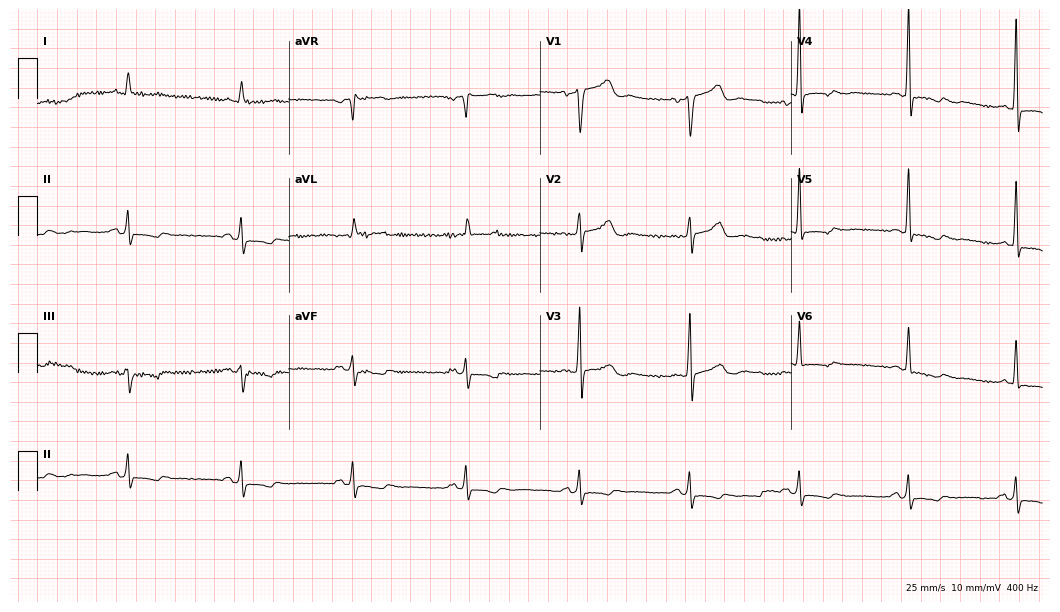
12-lead ECG from a male patient, 83 years old (10.2-second recording at 400 Hz). No first-degree AV block, right bundle branch block, left bundle branch block, sinus bradycardia, atrial fibrillation or sinus tachycardia recorded for this tracing.